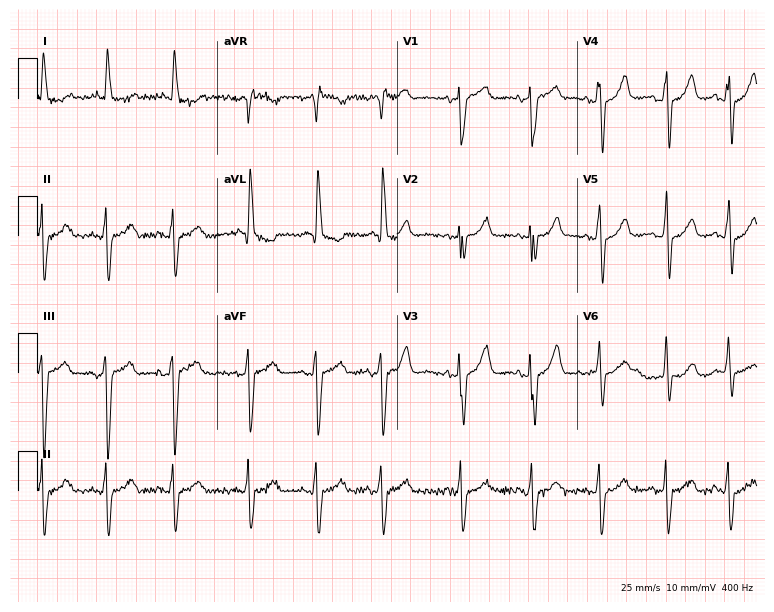
12-lead ECG from an 81-year-old female. No first-degree AV block, right bundle branch block, left bundle branch block, sinus bradycardia, atrial fibrillation or sinus tachycardia recorded for this tracing.